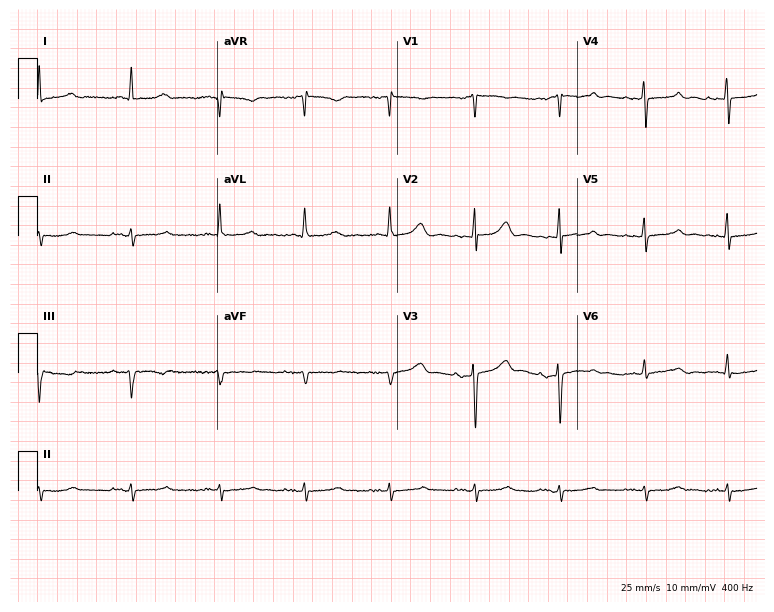
12-lead ECG from a female, 82 years old (7.3-second recording at 400 Hz). No first-degree AV block, right bundle branch block, left bundle branch block, sinus bradycardia, atrial fibrillation or sinus tachycardia recorded for this tracing.